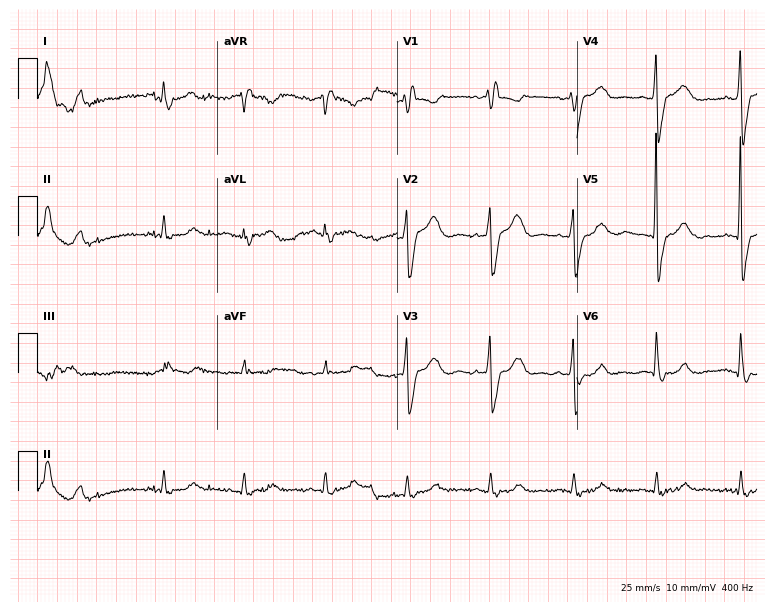
ECG — an 85-year-old male patient. Findings include right bundle branch block.